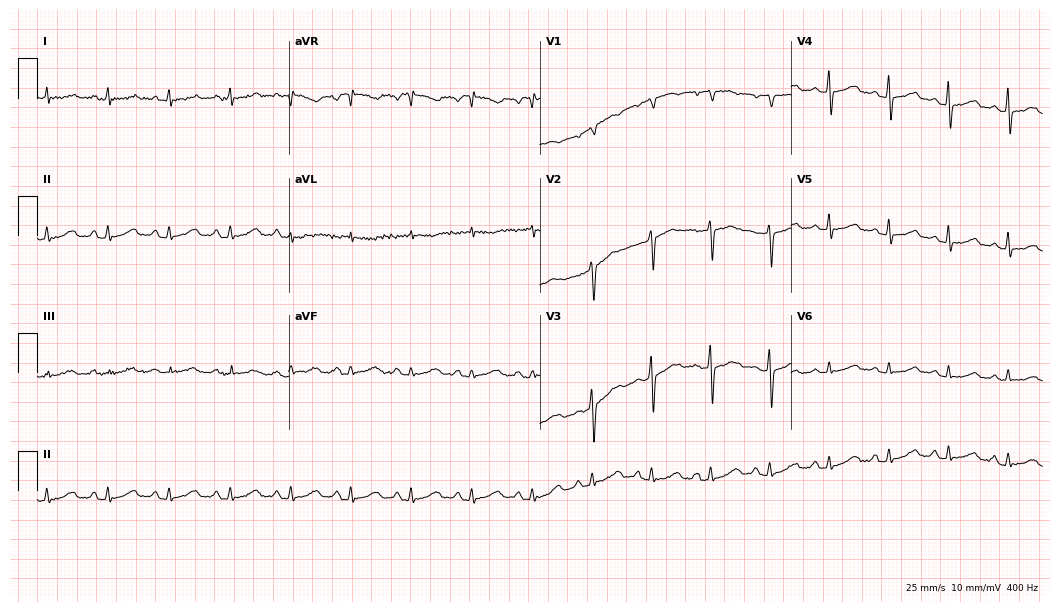
12-lead ECG (10.2-second recording at 400 Hz) from a 68-year-old female. Screened for six findings — first-degree AV block, right bundle branch block, left bundle branch block, sinus bradycardia, atrial fibrillation, sinus tachycardia — none is recorded.